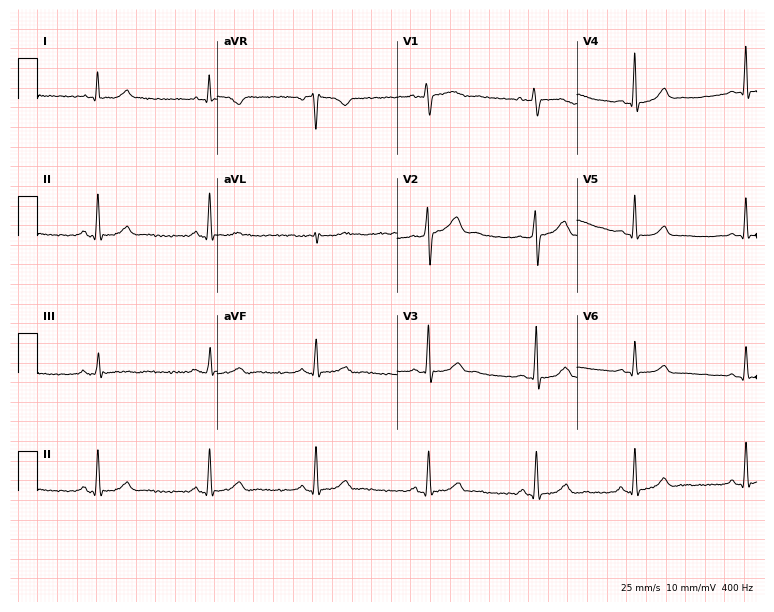
12-lead ECG from a female, 30 years old. Screened for six findings — first-degree AV block, right bundle branch block, left bundle branch block, sinus bradycardia, atrial fibrillation, sinus tachycardia — none is recorded. Other findings, if any, are not listed.